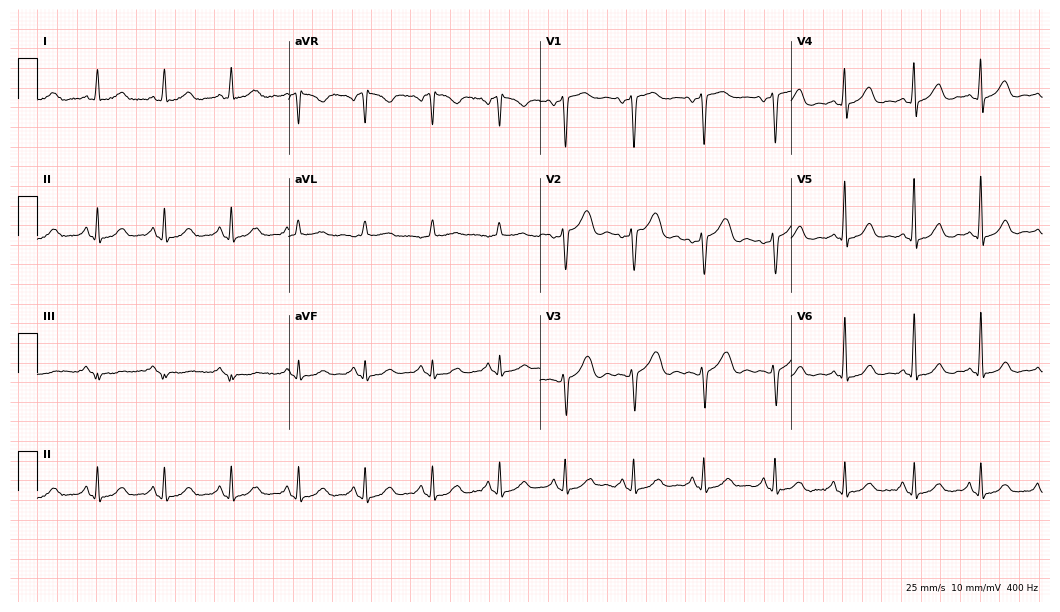
ECG — a 39-year-old female patient. Labelled as a normal ECG.